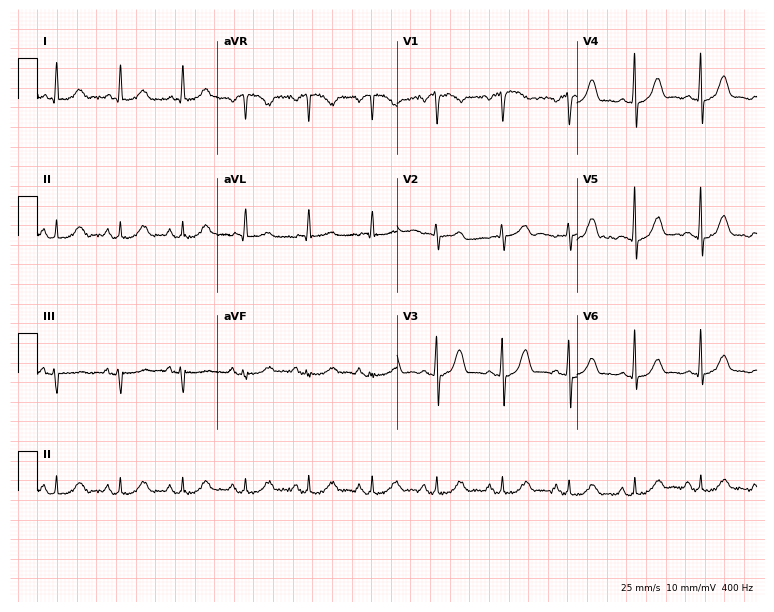
ECG — a man, 60 years old. Labelled as a normal ECG.